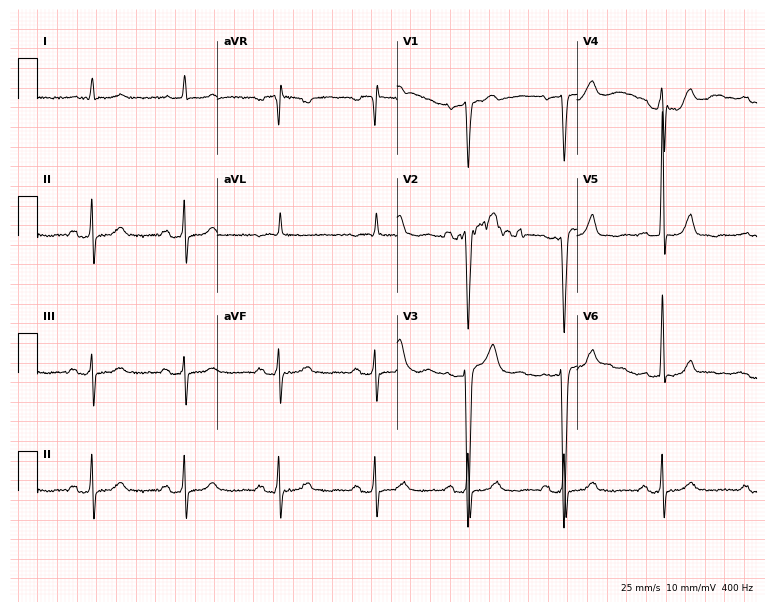
12-lead ECG from a male, 79 years old. Recorded interpretation: within normal limits.